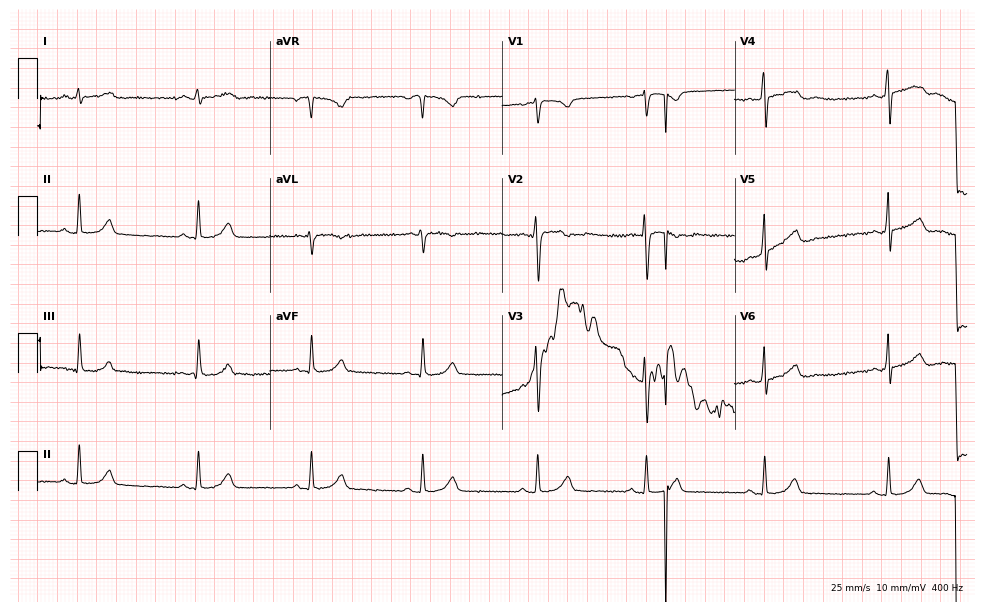
ECG — a female patient, 35 years old. Screened for six findings — first-degree AV block, right bundle branch block, left bundle branch block, sinus bradycardia, atrial fibrillation, sinus tachycardia — none is recorded.